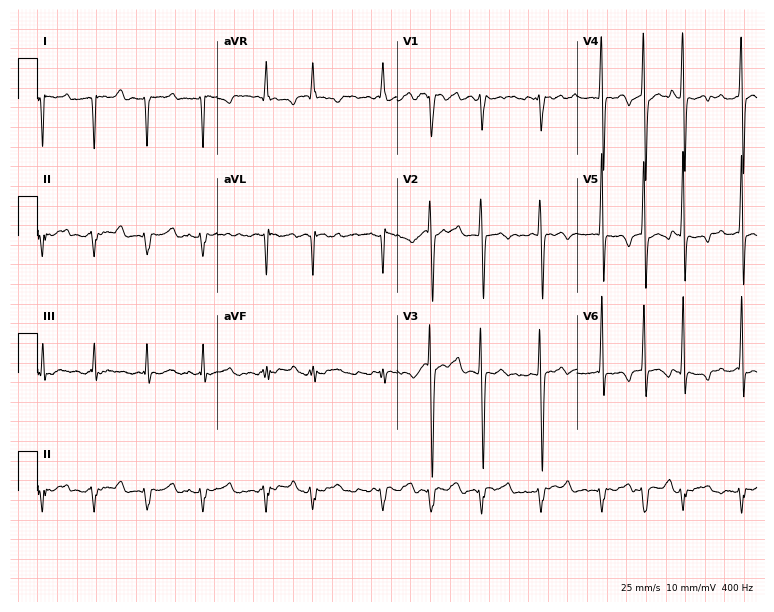
Standard 12-lead ECG recorded from a woman, 70 years old (7.3-second recording at 400 Hz). None of these six findings is recorded: first-degree AV block, right bundle branch block (RBBB), left bundle branch block (LBBB), sinus bradycardia, atrial fibrillation (AF), sinus tachycardia.